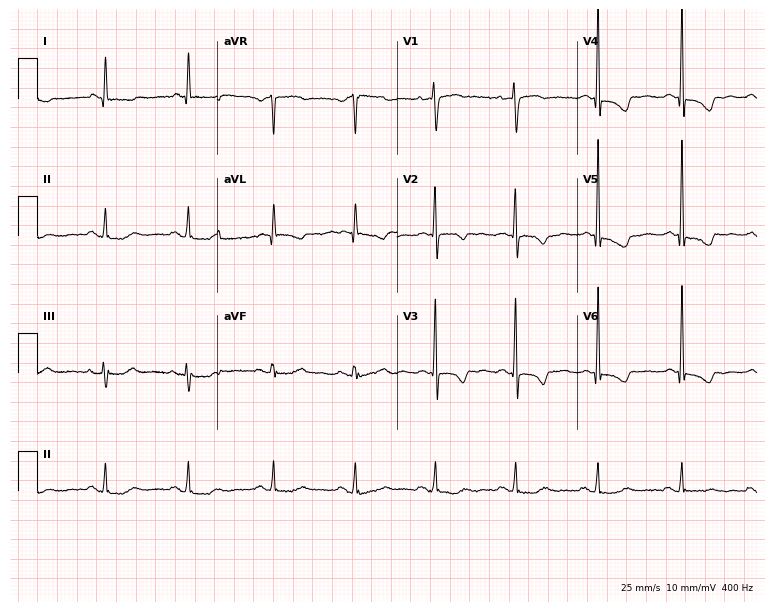
12-lead ECG from a female, 62 years old (7.3-second recording at 400 Hz). No first-degree AV block, right bundle branch block (RBBB), left bundle branch block (LBBB), sinus bradycardia, atrial fibrillation (AF) or sinus tachycardia recorded for this tracing. Other findings, if any, are not listed.